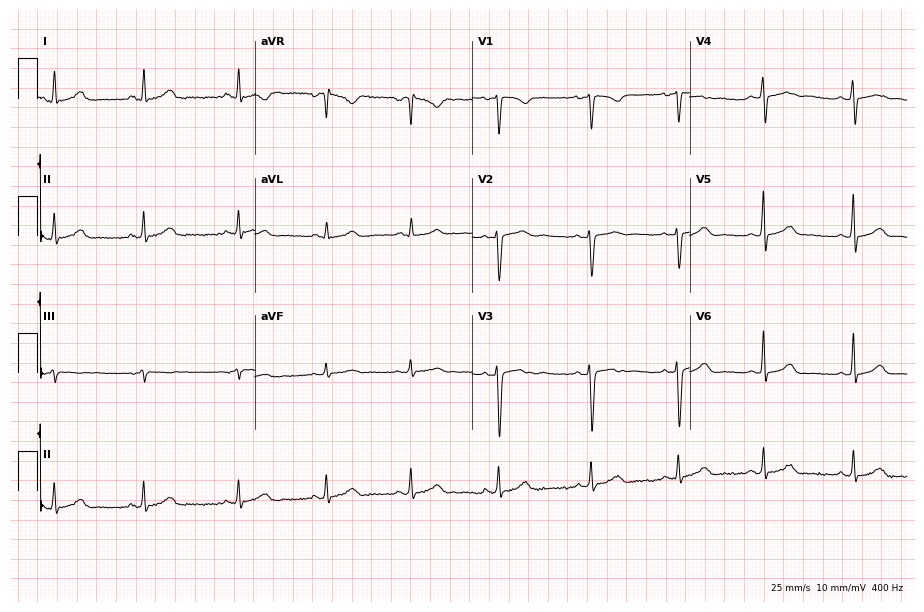
12-lead ECG from a female patient, 21 years old. Labelled as a normal ECG.